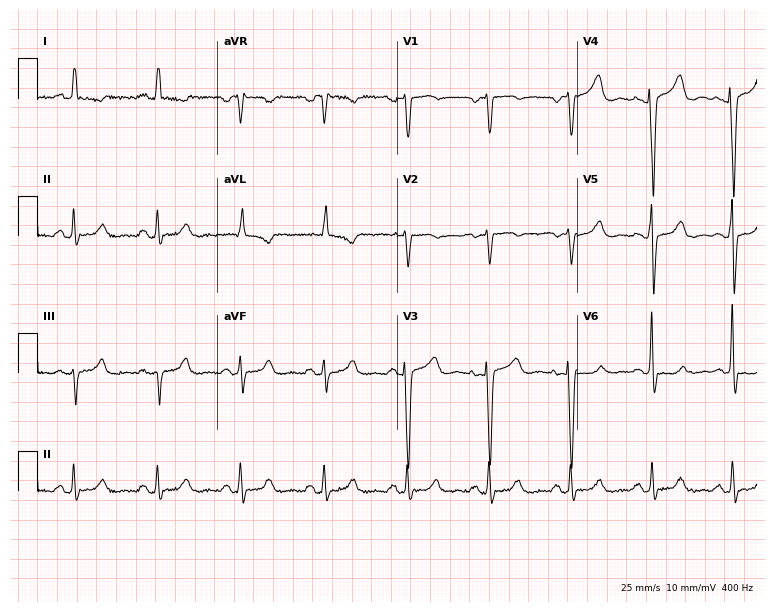
Resting 12-lead electrocardiogram. Patient: a 60-year-old female. None of these six findings is recorded: first-degree AV block, right bundle branch block, left bundle branch block, sinus bradycardia, atrial fibrillation, sinus tachycardia.